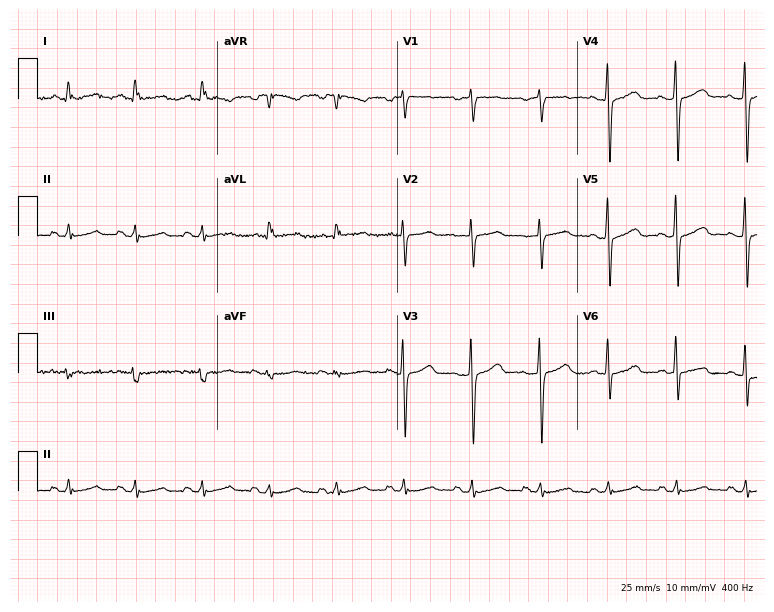
Standard 12-lead ECG recorded from a female, 60 years old. Read as a normal ECG.